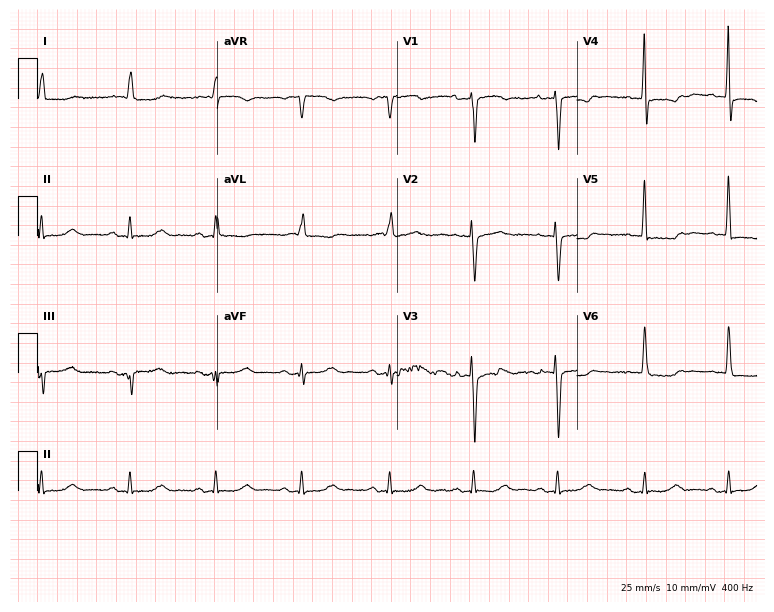
12-lead ECG (7.3-second recording at 400 Hz) from an 80-year-old female patient. Screened for six findings — first-degree AV block, right bundle branch block, left bundle branch block, sinus bradycardia, atrial fibrillation, sinus tachycardia — none is recorded.